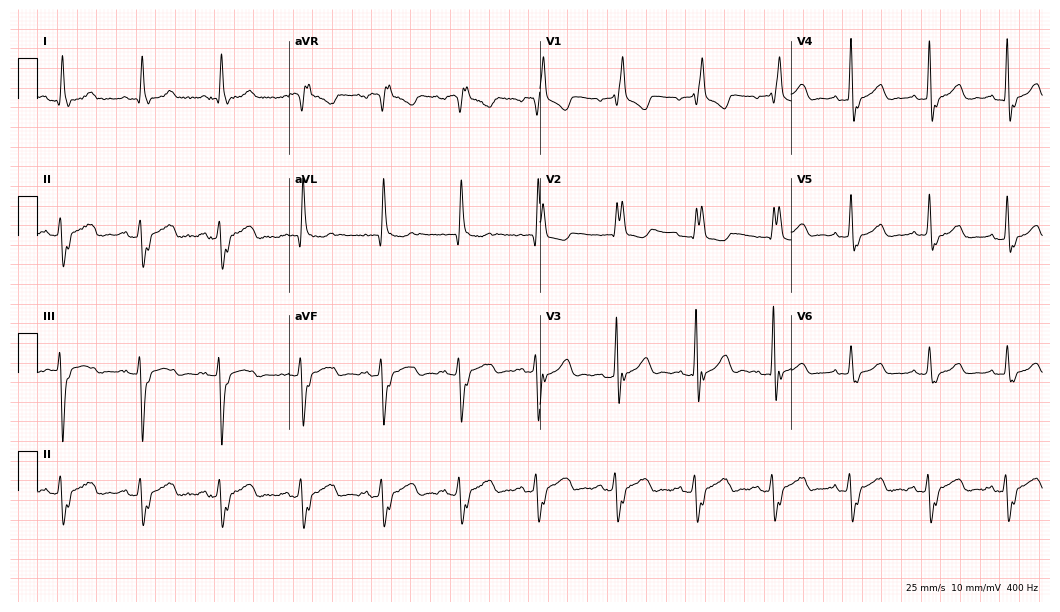
Electrocardiogram (10.2-second recording at 400 Hz), a female patient, 55 years old. Interpretation includes right bundle branch block.